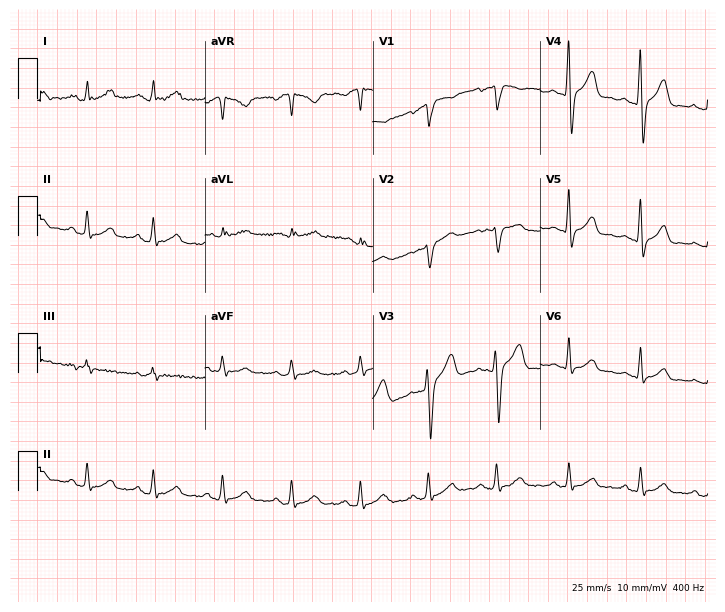
12-lead ECG from a 20-year-old female patient (6.8-second recording at 400 Hz). No first-degree AV block, right bundle branch block, left bundle branch block, sinus bradycardia, atrial fibrillation or sinus tachycardia recorded for this tracing.